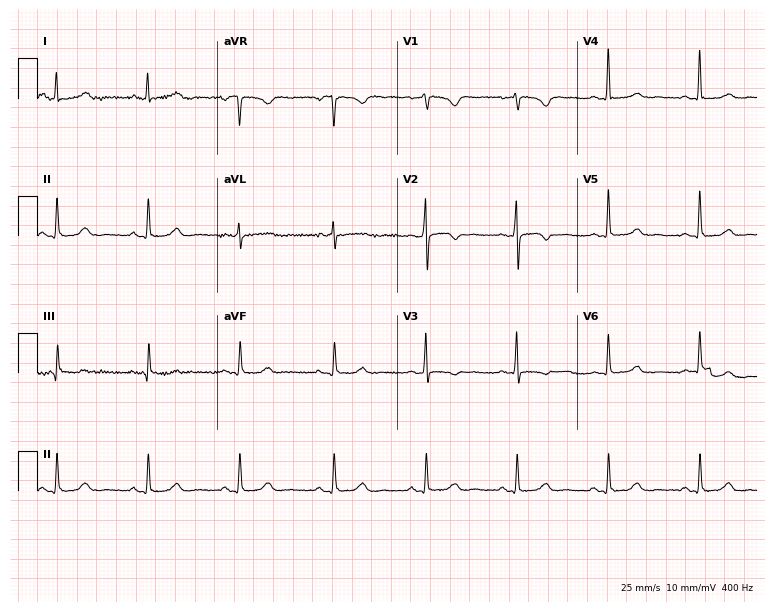
Resting 12-lead electrocardiogram. Patient: a 52-year-old woman. Read as a normal ECG.